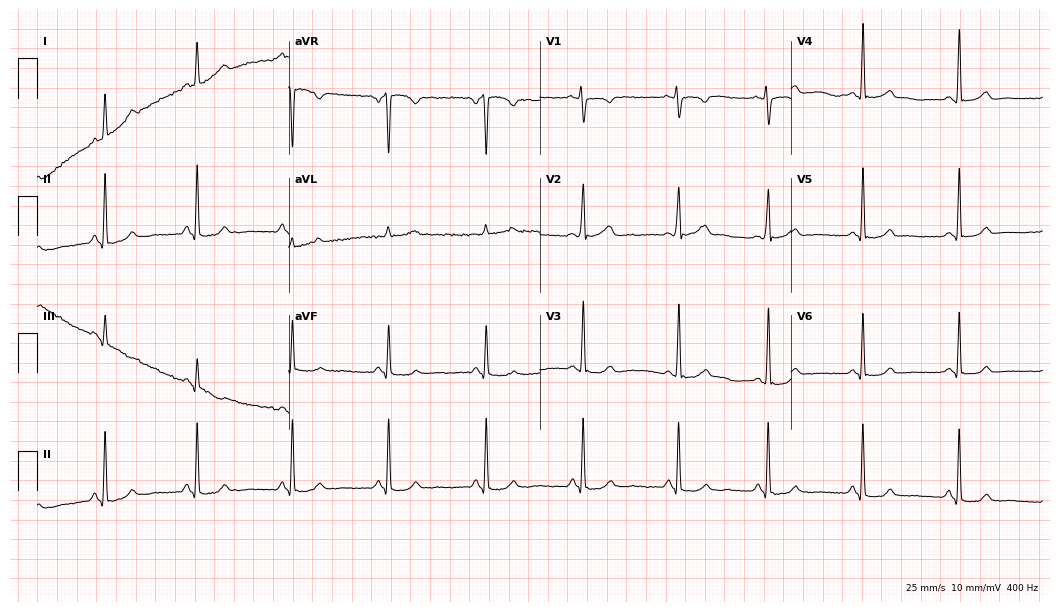
Resting 12-lead electrocardiogram (10.2-second recording at 400 Hz). Patient: a woman, 31 years old. Read as a normal ECG.